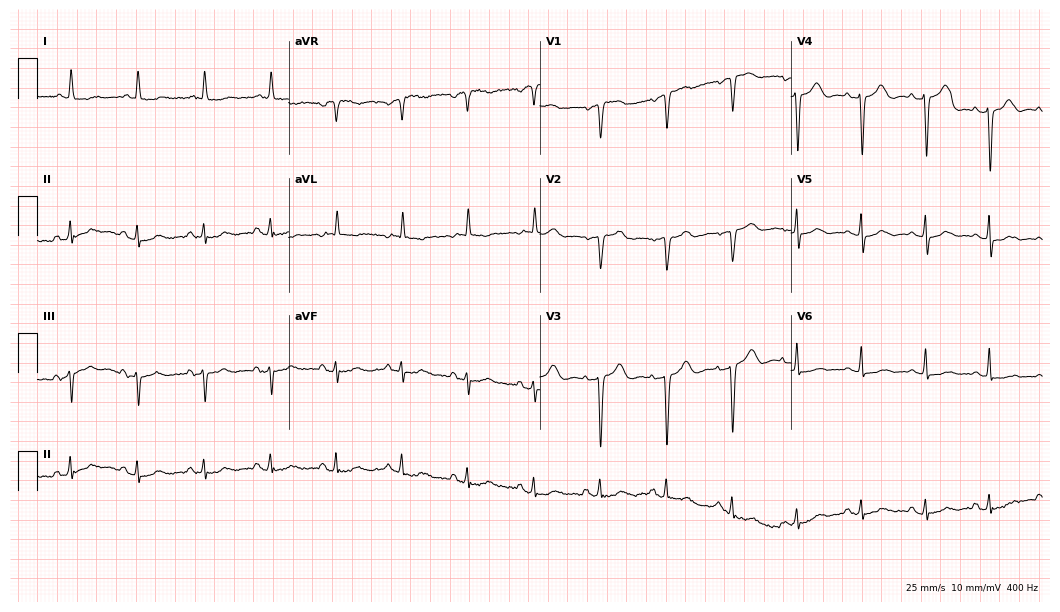
12-lead ECG from a female, 84 years old. No first-degree AV block, right bundle branch block (RBBB), left bundle branch block (LBBB), sinus bradycardia, atrial fibrillation (AF) or sinus tachycardia recorded for this tracing.